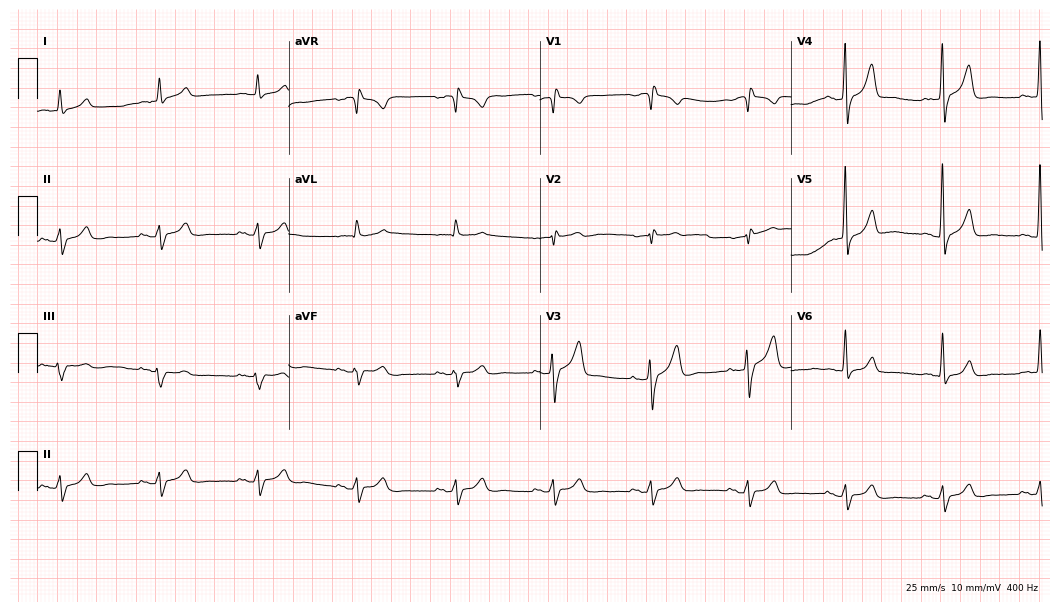
Electrocardiogram, a 71-year-old man. Of the six screened findings (first-degree AV block, right bundle branch block, left bundle branch block, sinus bradycardia, atrial fibrillation, sinus tachycardia), none is recorded.